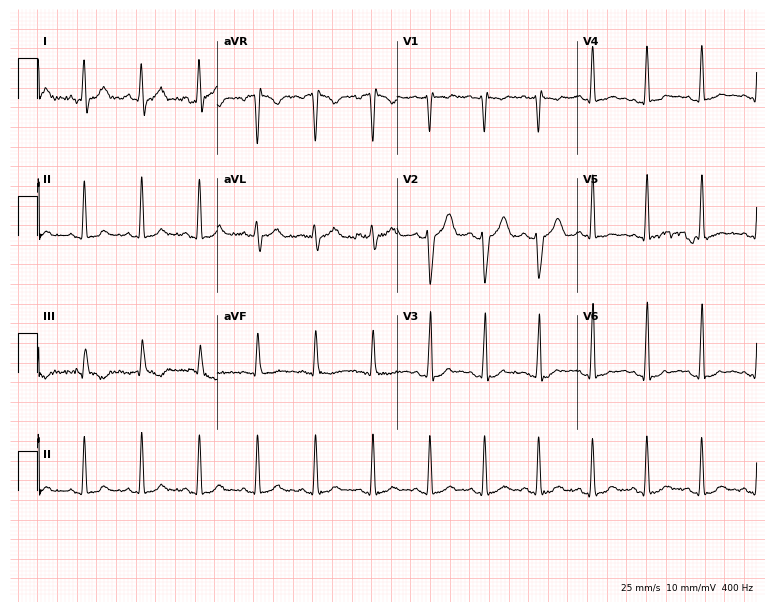
Standard 12-lead ECG recorded from a 25-year-old male. The tracing shows sinus tachycardia (a sinus rate of 100 beats per minute or more).